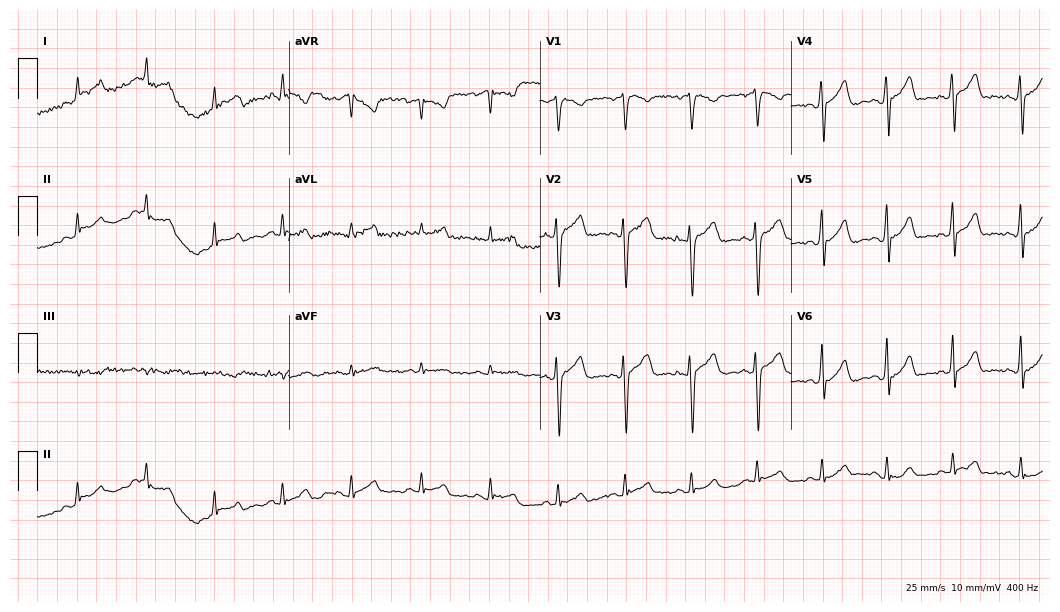
ECG (10.2-second recording at 400 Hz) — a 39-year-old man. Labelled as a normal ECG.